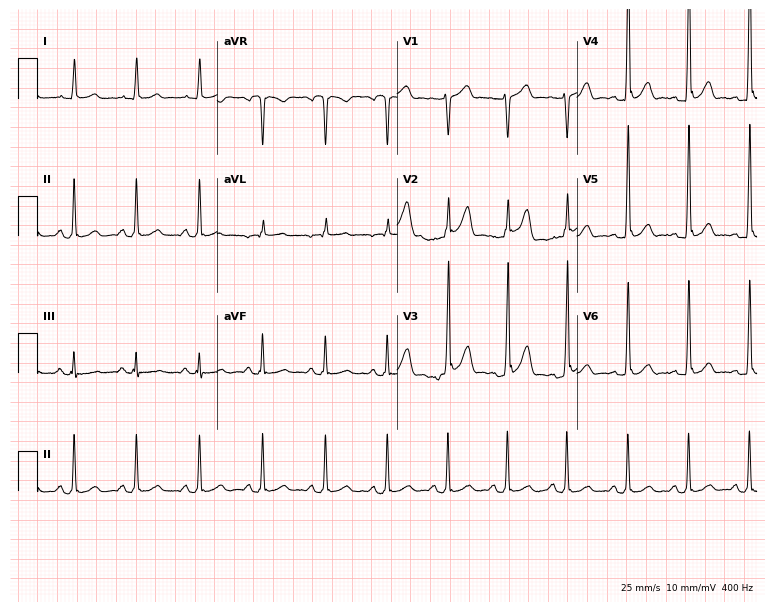
Standard 12-lead ECG recorded from a male, 42 years old. None of these six findings is recorded: first-degree AV block, right bundle branch block, left bundle branch block, sinus bradycardia, atrial fibrillation, sinus tachycardia. Other findings, if any, are not listed.